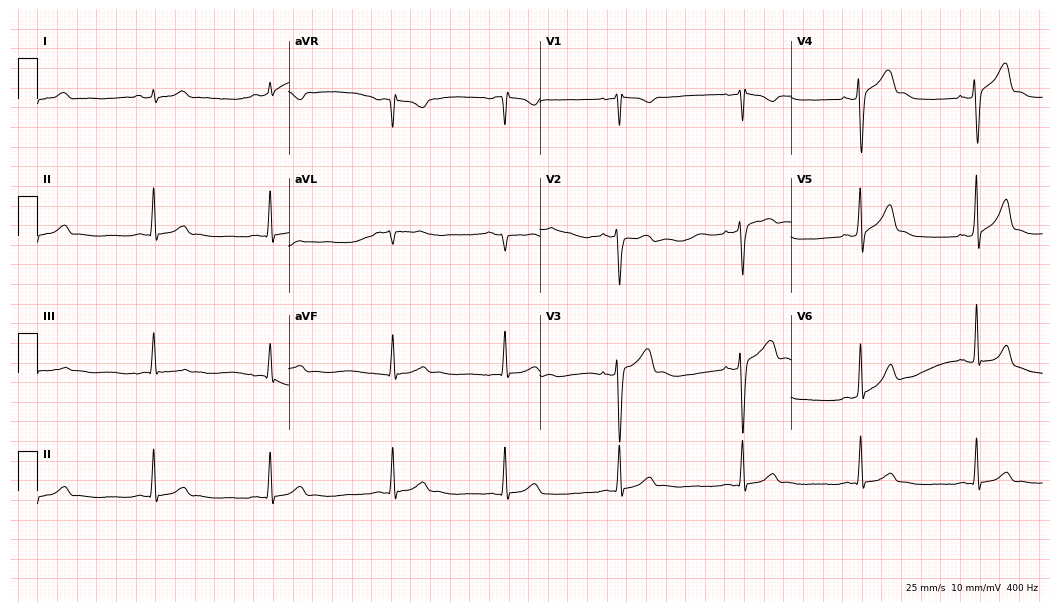
Standard 12-lead ECG recorded from a man, 26 years old (10.2-second recording at 400 Hz). Read as a normal ECG.